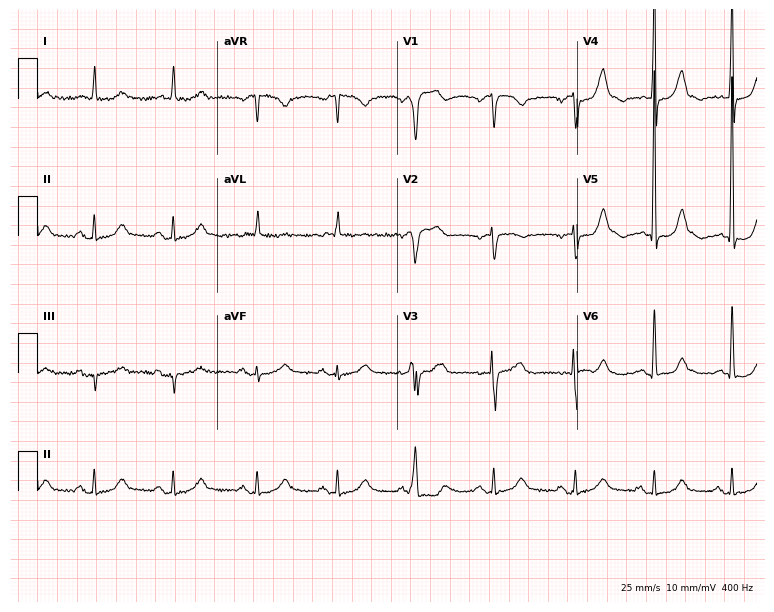
ECG — a man, 72 years old. Screened for six findings — first-degree AV block, right bundle branch block (RBBB), left bundle branch block (LBBB), sinus bradycardia, atrial fibrillation (AF), sinus tachycardia — none is recorded.